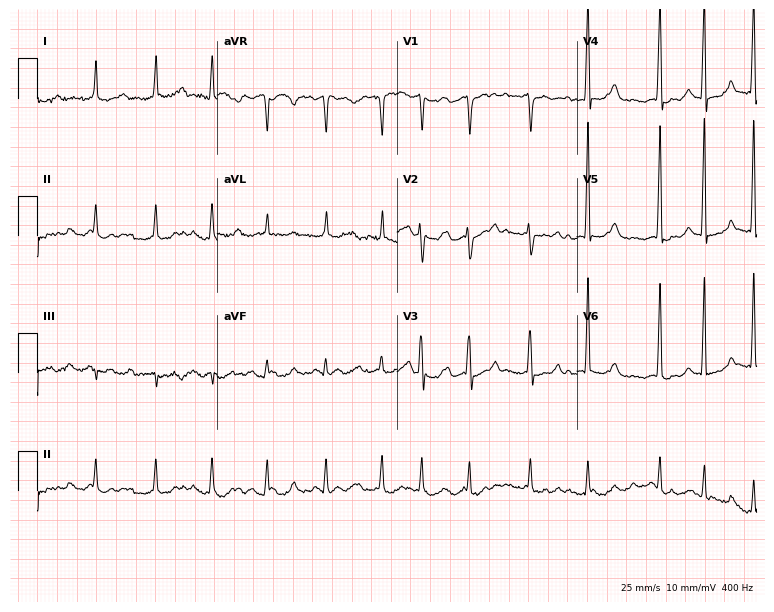
ECG — a 67-year-old female. Findings include atrial fibrillation.